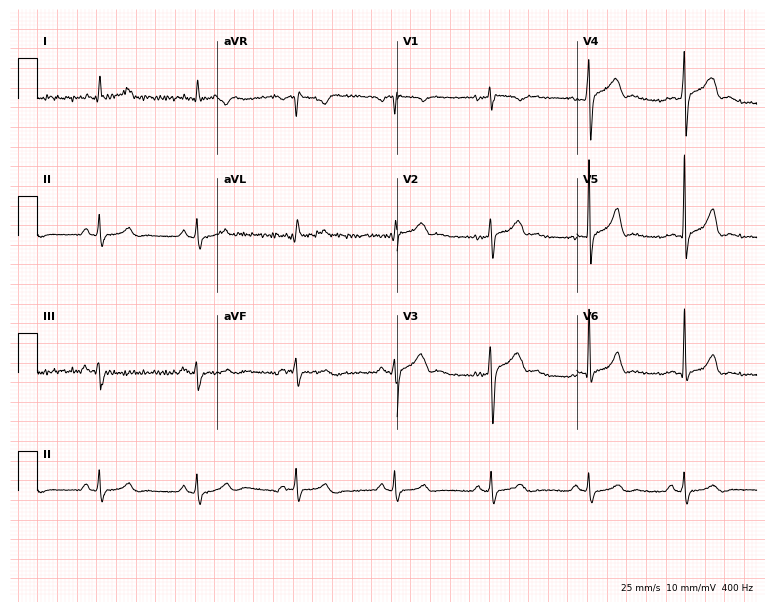
Standard 12-lead ECG recorded from a 44-year-old man. Read as a normal ECG.